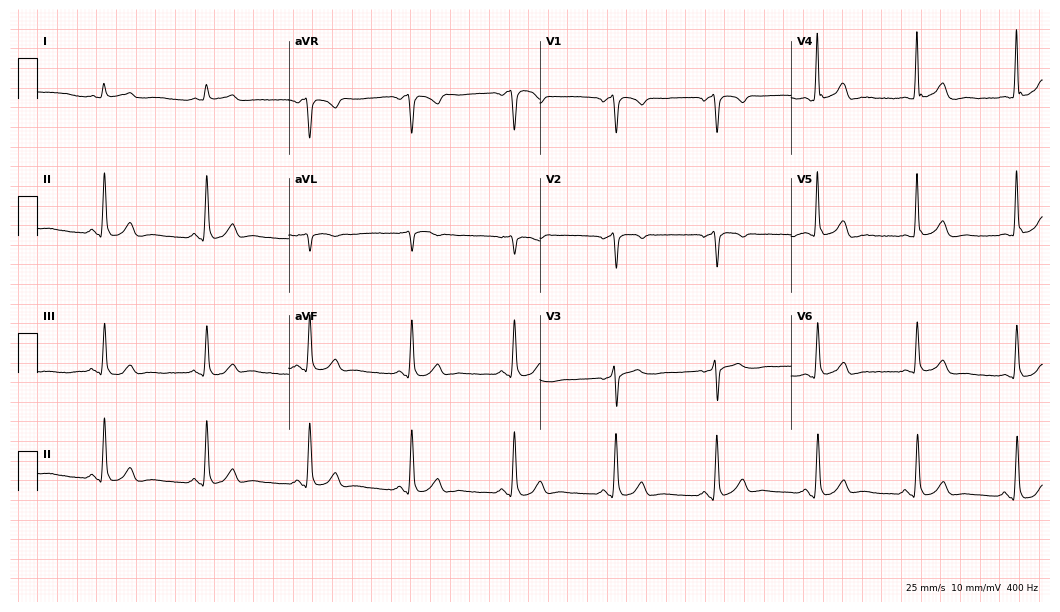
12-lead ECG from a 66-year-old male patient (10.2-second recording at 400 Hz). No first-degree AV block, right bundle branch block (RBBB), left bundle branch block (LBBB), sinus bradycardia, atrial fibrillation (AF) or sinus tachycardia recorded for this tracing.